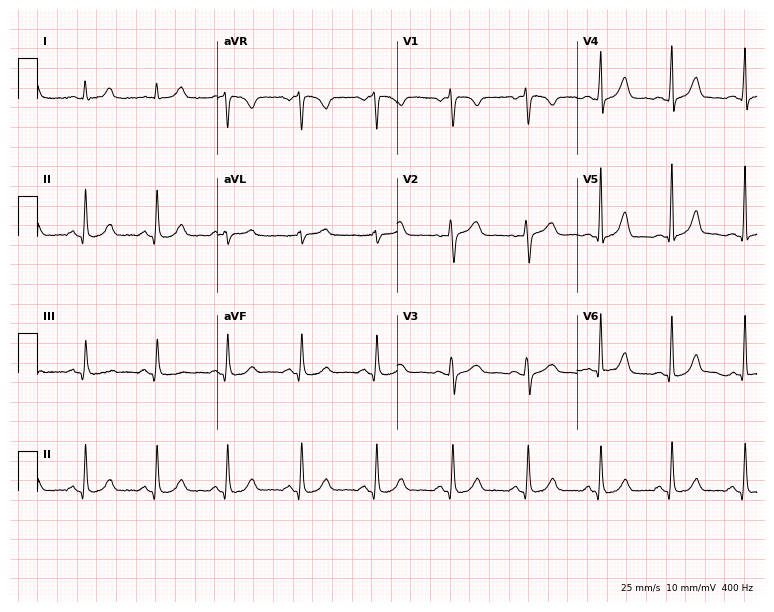
ECG — a female, 48 years old. Screened for six findings — first-degree AV block, right bundle branch block, left bundle branch block, sinus bradycardia, atrial fibrillation, sinus tachycardia — none is recorded. Only these six findings were labelled.